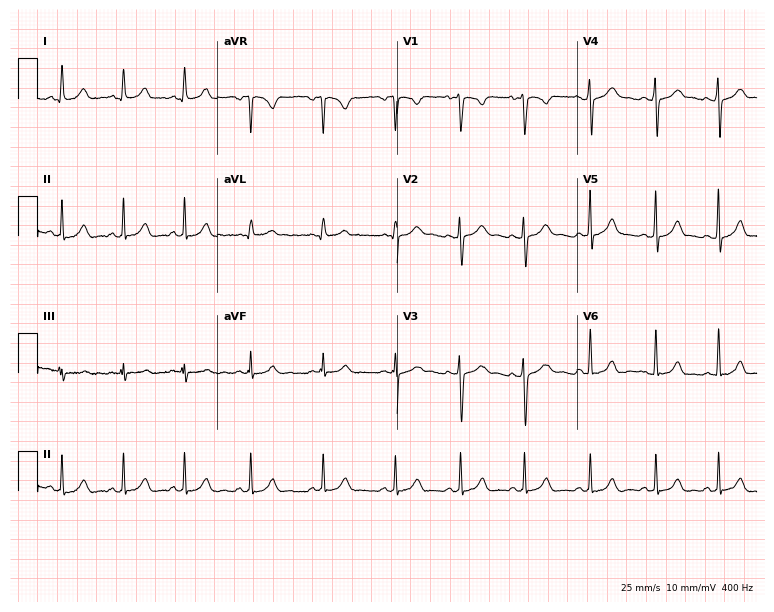
Standard 12-lead ECG recorded from a 22-year-old female patient (7.3-second recording at 400 Hz). Read as a normal ECG.